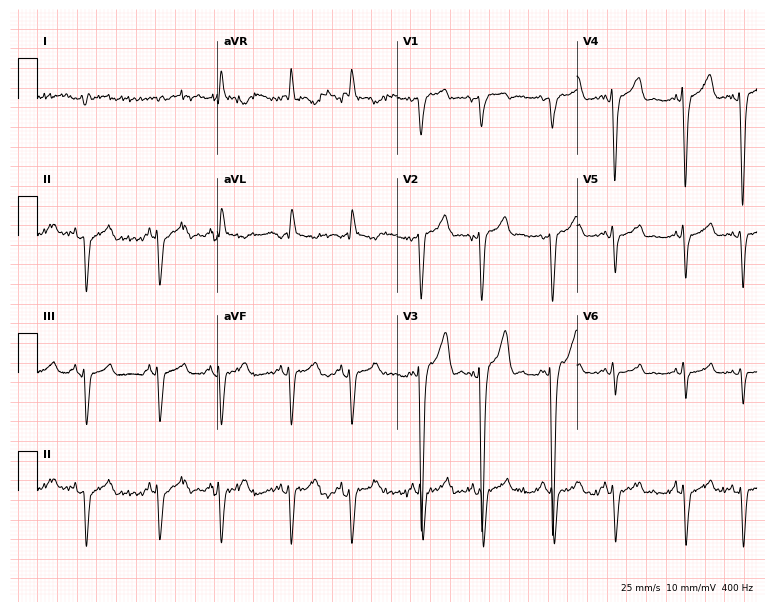
Electrocardiogram, a woman, 82 years old. Of the six screened findings (first-degree AV block, right bundle branch block (RBBB), left bundle branch block (LBBB), sinus bradycardia, atrial fibrillation (AF), sinus tachycardia), none is recorded. Other findings, if any, are not listed.